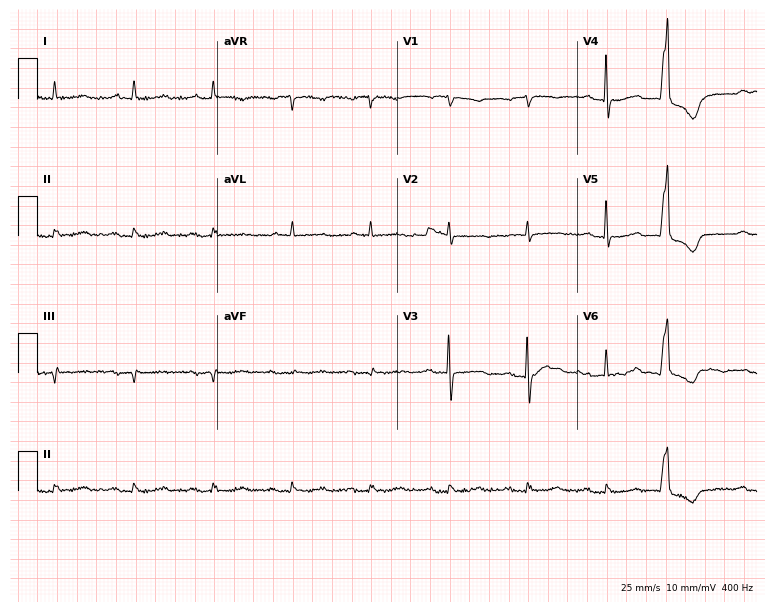
Standard 12-lead ECG recorded from an 83-year-old woman (7.3-second recording at 400 Hz). None of these six findings is recorded: first-degree AV block, right bundle branch block (RBBB), left bundle branch block (LBBB), sinus bradycardia, atrial fibrillation (AF), sinus tachycardia. Findings outside these six are not listed.